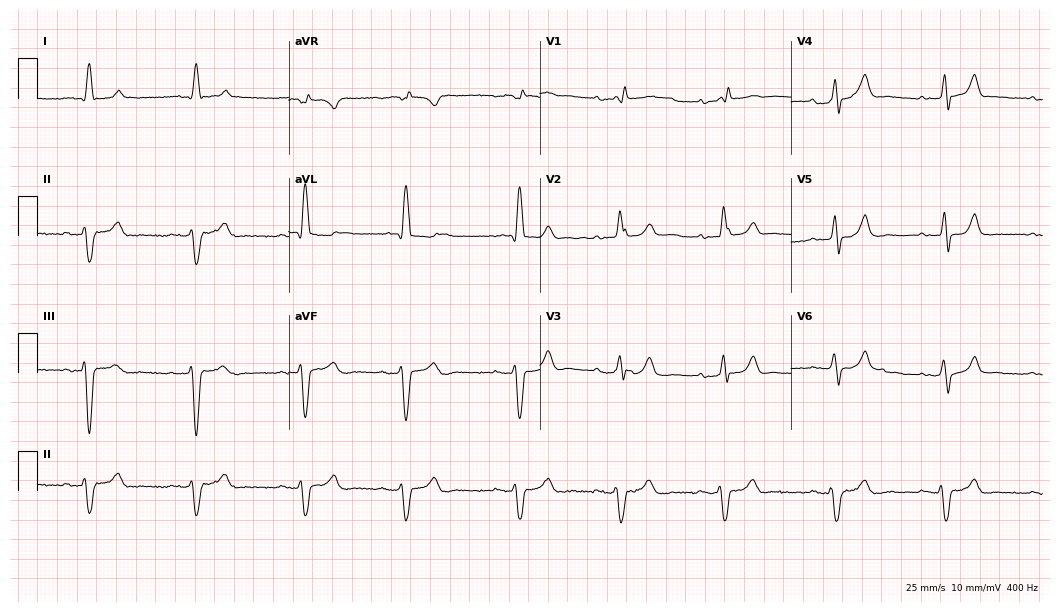
12-lead ECG from a 77-year-old male patient. No first-degree AV block, right bundle branch block, left bundle branch block, sinus bradycardia, atrial fibrillation or sinus tachycardia recorded for this tracing. Findings outside these six are not listed.